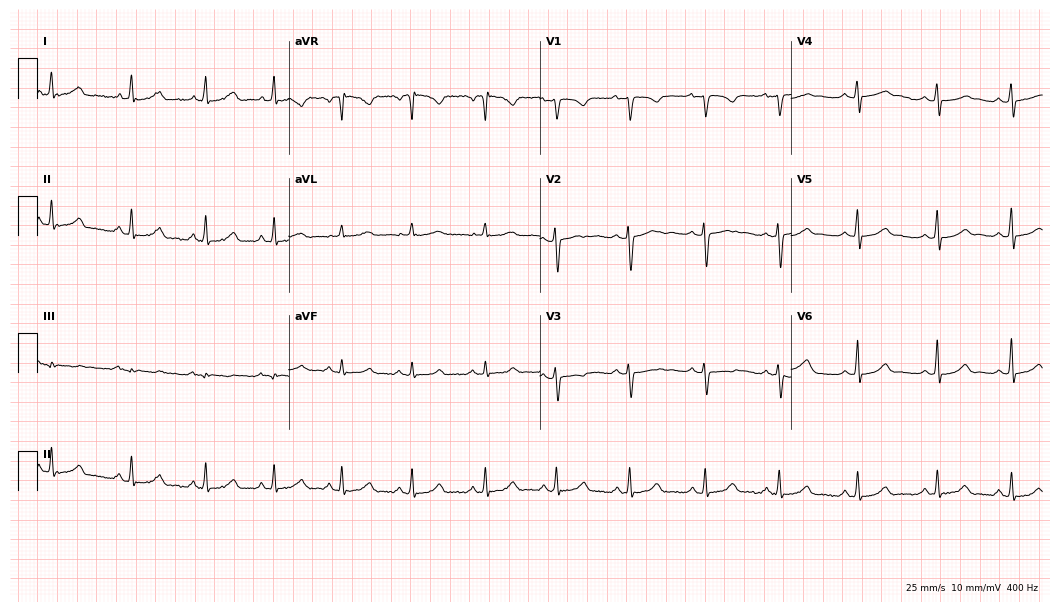
12-lead ECG from a 28-year-old female (10.2-second recording at 400 Hz). No first-degree AV block, right bundle branch block, left bundle branch block, sinus bradycardia, atrial fibrillation or sinus tachycardia recorded for this tracing.